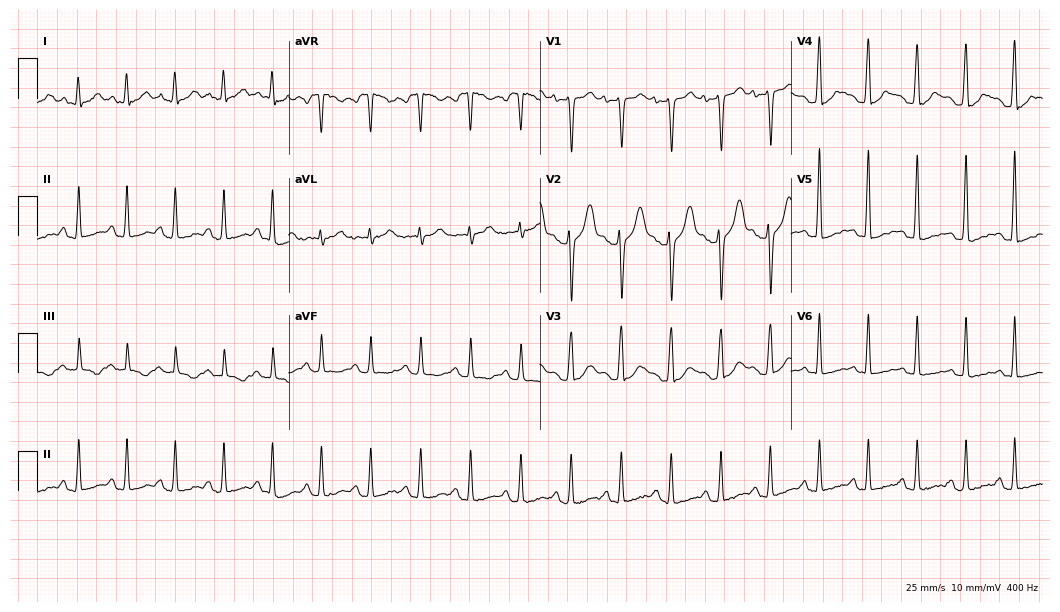
Standard 12-lead ECG recorded from a male, 26 years old (10.2-second recording at 400 Hz). The tracing shows sinus tachycardia (a sinus rate of 100 beats per minute or more).